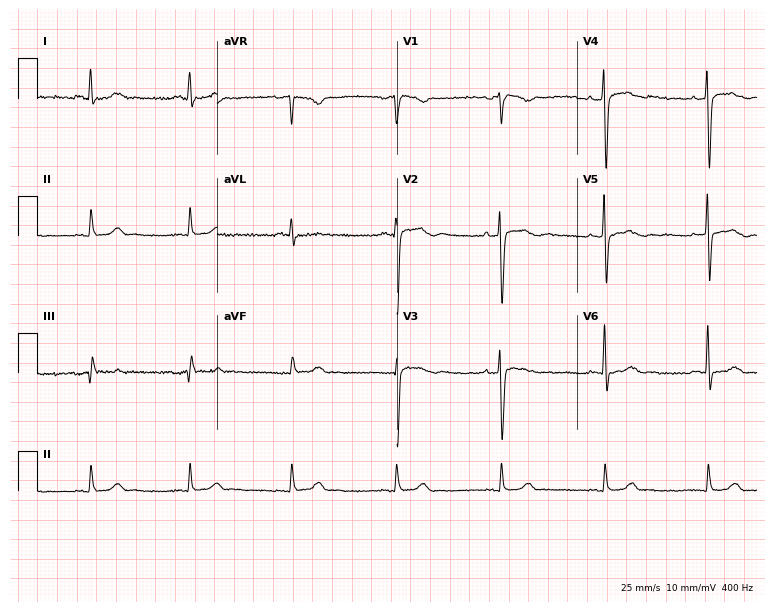
Electrocardiogram, a male patient, 45 years old. Overall reading on record: normal ECG.